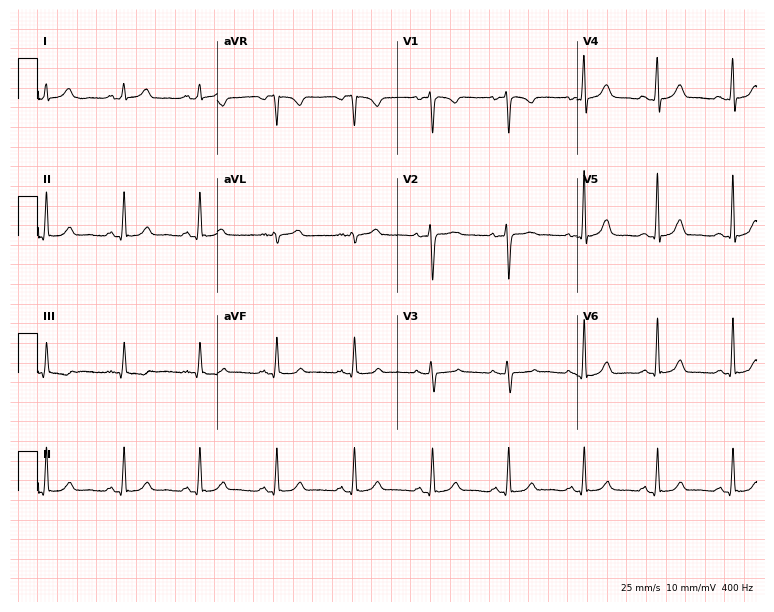
Resting 12-lead electrocardiogram (7.3-second recording at 400 Hz). Patient: a 39-year-old female. Read as a normal ECG.